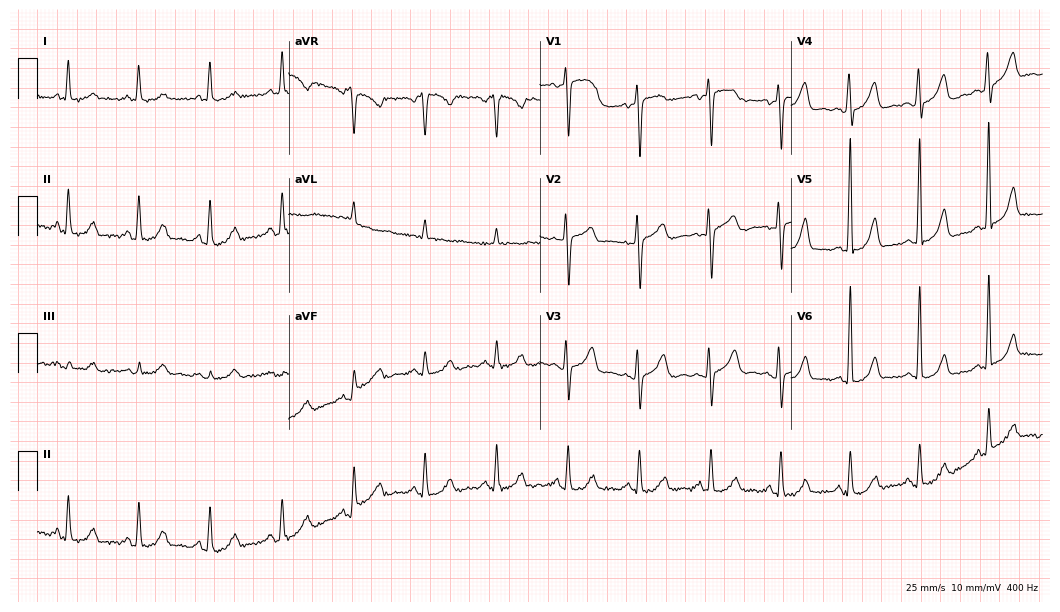
ECG (10.2-second recording at 400 Hz) — a 53-year-old female patient. Labelled as a normal ECG.